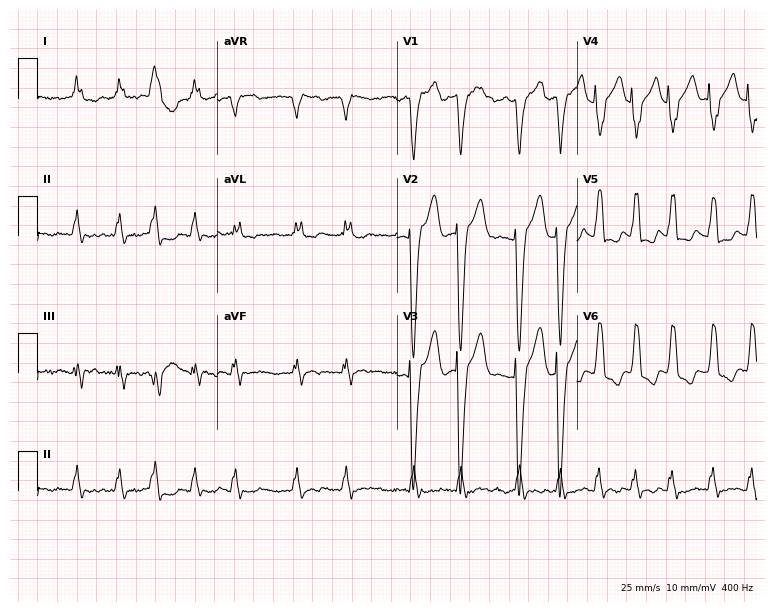
Electrocardiogram, a female patient, 74 years old. Interpretation includes left bundle branch block, atrial fibrillation.